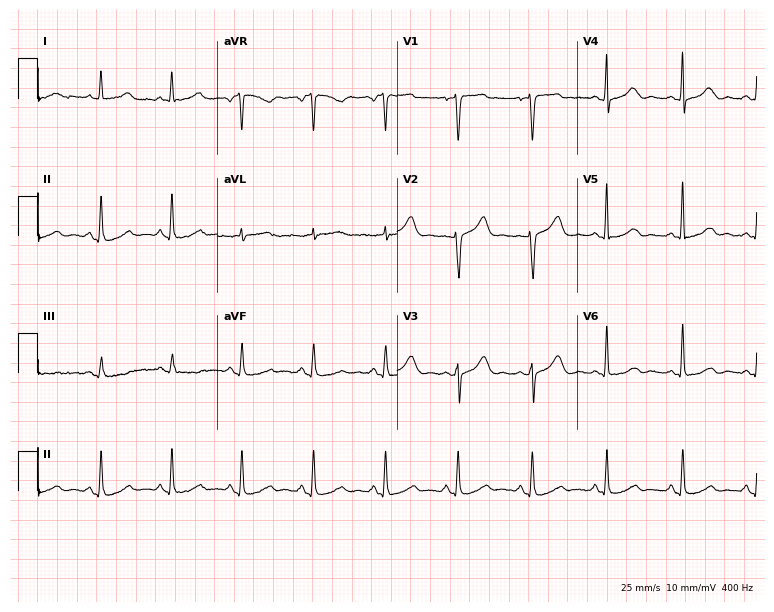
ECG — a 62-year-old female. Labelled as a normal ECG.